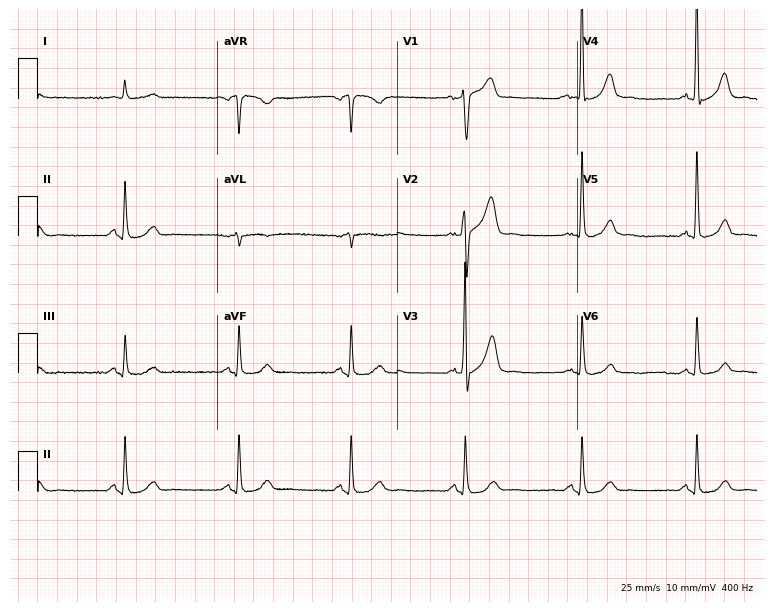
12-lead ECG (7.3-second recording at 400 Hz) from a man, 71 years old. Screened for six findings — first-degree AV block, right bundle branch block, left bundle branch block, sinus bradycardia, atrial fibrillation, sinus tachycardia — none is recorded.